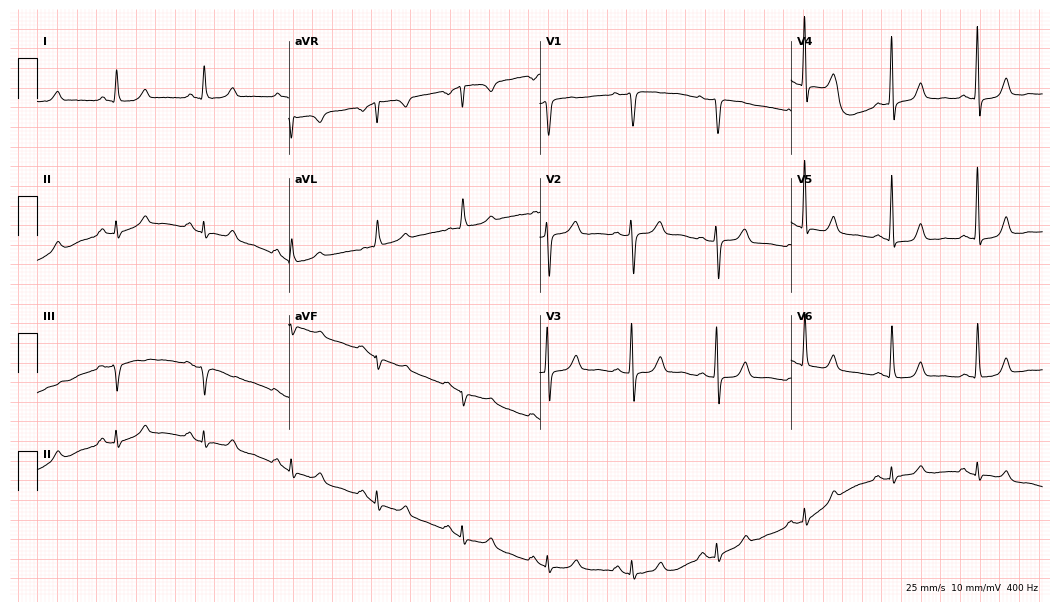
ECG (10.2-second recording at 400 Hz) — a woman, 64 years old. Screened for six findings — first-degree AV block, right bundle branch block, left bundle branch block, sinus bradycardia, atrial fibrillation, sinus tachycardia — none is recorded. Findings outside these six are not listed.